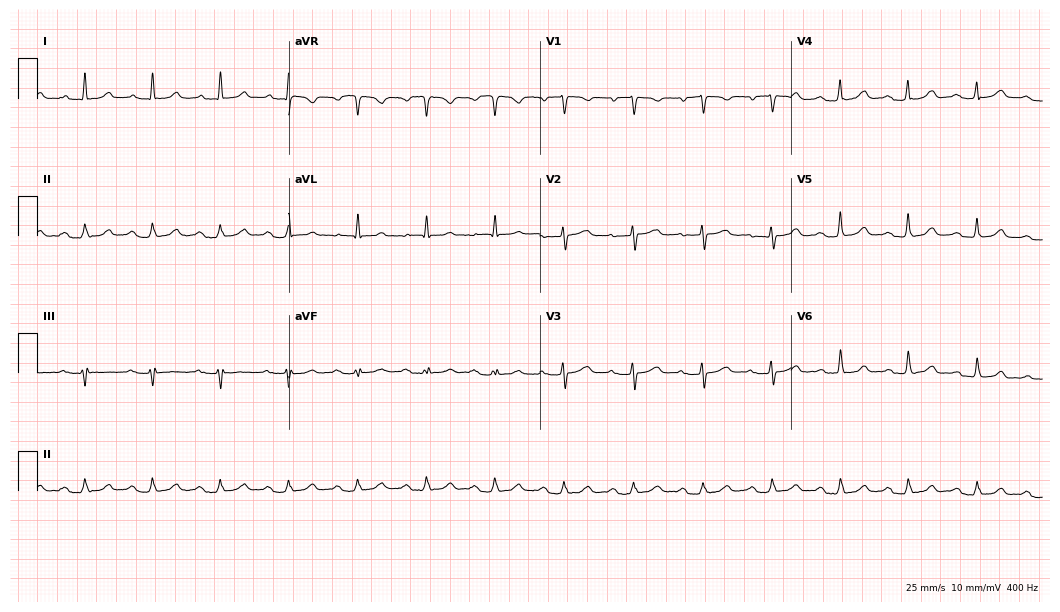
12-lead ECG (10.2-second recording at 400 Hz) from a female, 65 years old. Labelled as a normal ECG.